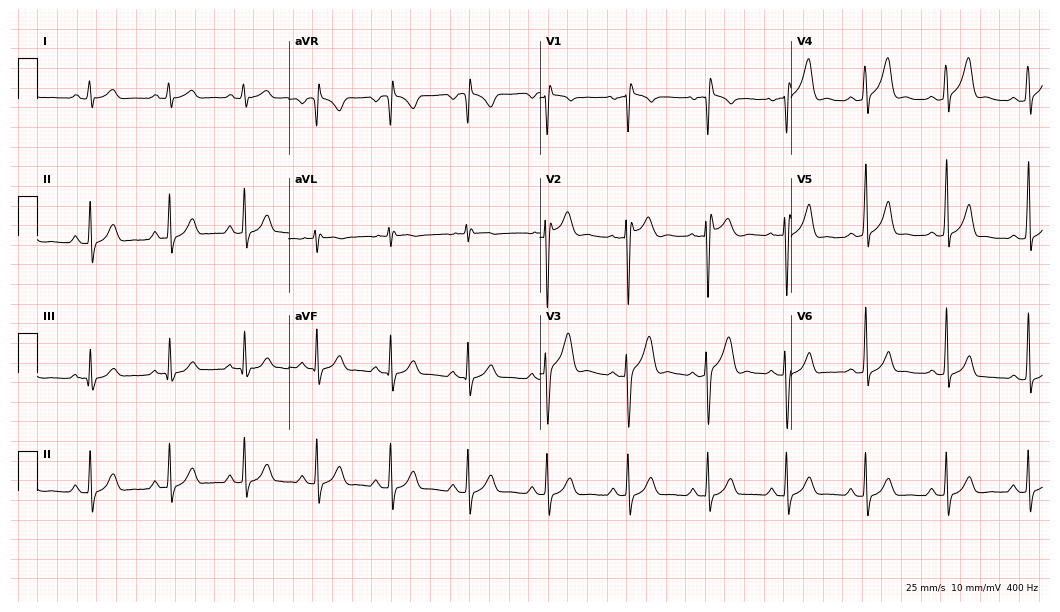
12-lead ECG from a man, 37 years old. Screened for six findings — first-degree AV block, right bundle branch block, left bundle branch block, sinus bradycardia, atrial fibrillation, sinus tachycardia — none is recorded.